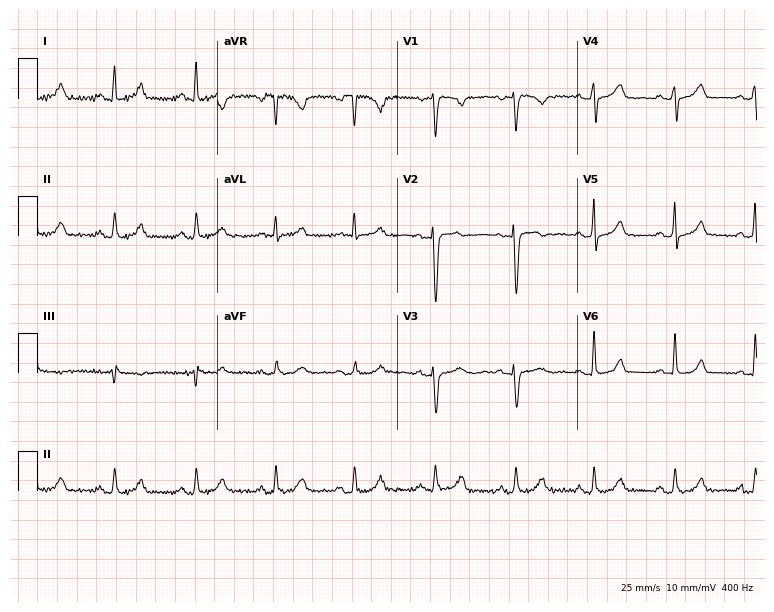
Resting 12-lead electrocardiogram (7.3-second recording at 400 Hz). Patient: a 43-year-old female. Read as a normal ECG.